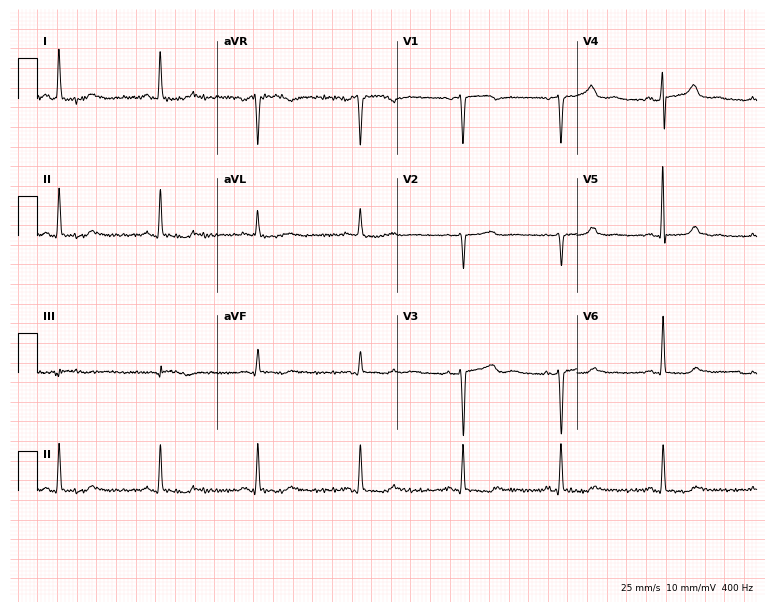
ECG (7.3-second recording at 400 Hz) — a 47-year-old woman. Screened for six findings — first-degree AV block, right bundle branch block (RBBB), left bundle branch block (LBBB), sinus bradycardia, atrial fibrillation (AF), sinus tachycardia — none is recorded.